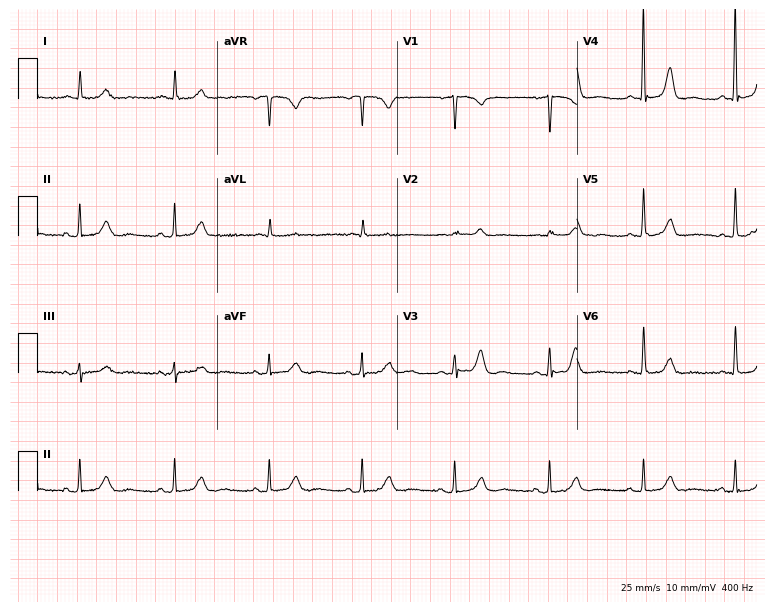
Electrocardiogram, a 69-year-old female patient. Of the six screened findings (first-degree AV block, right bundle branch block (RBBB), left bundle branch block (LBBB), sinus bradycardia, atrial fibrillation (AF), sinus tachycardia), none is recorded.